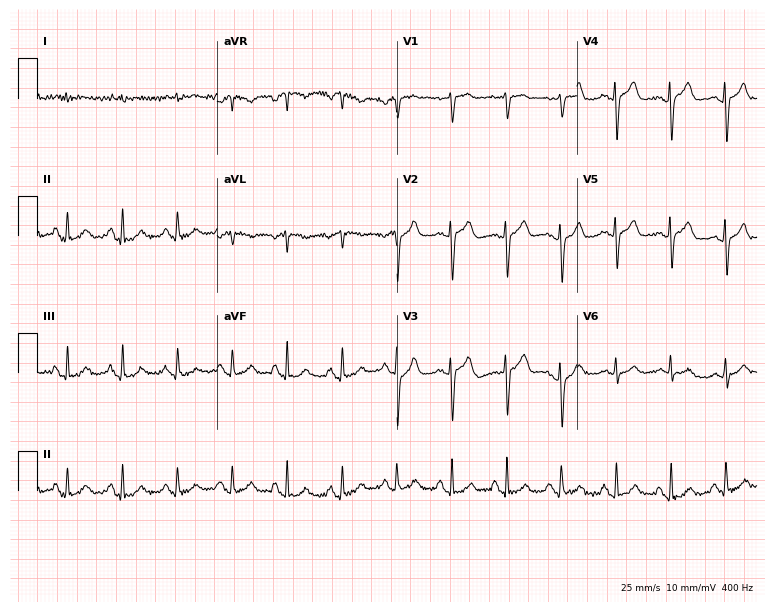
Standard 12-lead ECG recorded from a man, 86 years old. The tracing shows sinus tachycardia (a sinus rate of 100 beats per minute or more).